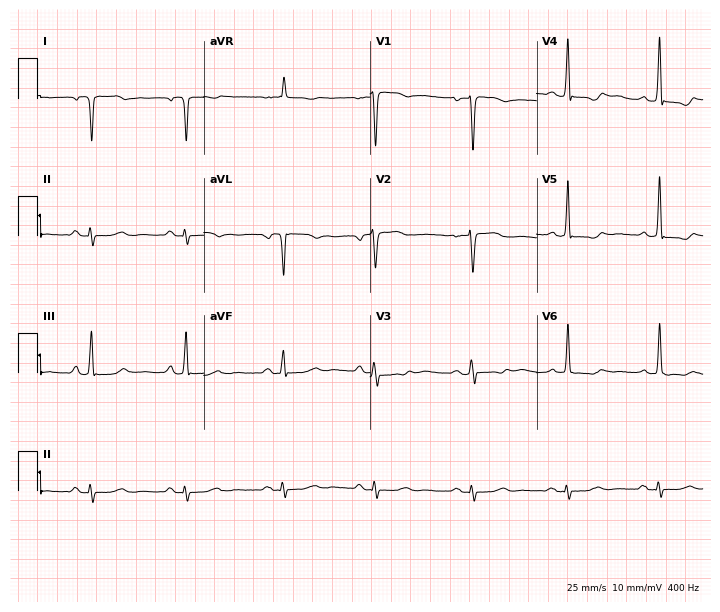
ECG — a woman, 59 years old. Screened for six findings — first-degree AV block, right bundle branch block, left bundle branch block, sinus bradycardia, atrial fibrillation, sinus tachycardia — none is recorded. Only these six findings were labelled.